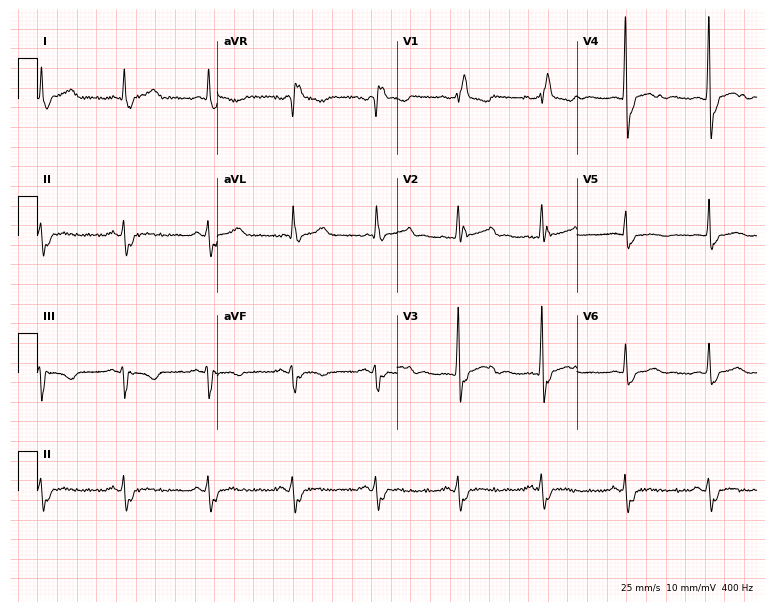
12-lead ECG from a 57-year-old woman (7.3-second recording at 400 Hz). Shows right bundle branch block.